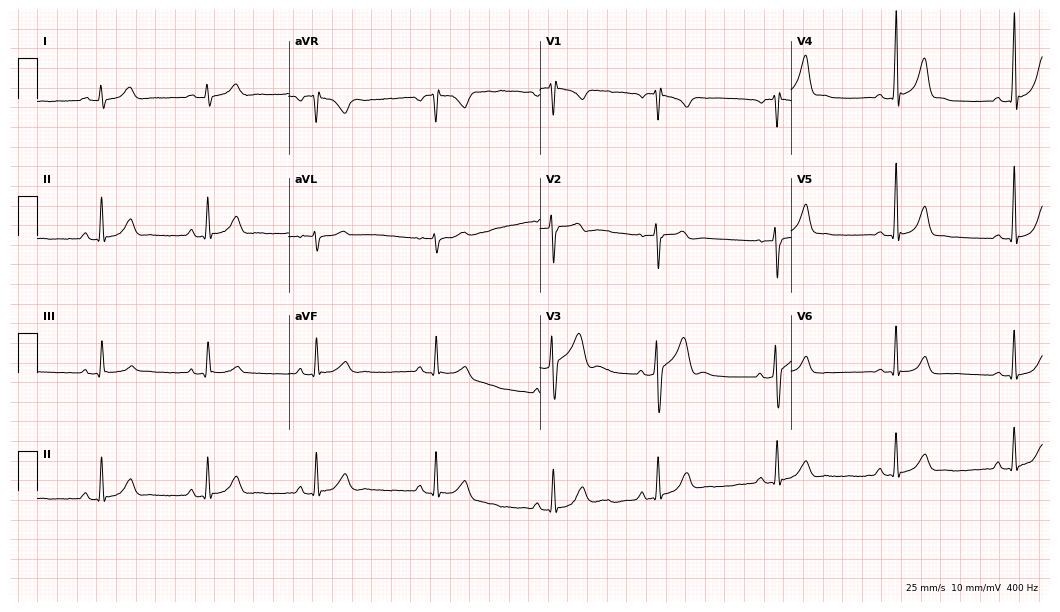
Resting 12-lead electrocardiogram. Patient: a 31-year-old man. None of these six findings is recorded: first-degree AV block, right bundle branch block, left bundle branch block, sinus bradycardia, atrial fibrillation, sinus tachycardia.